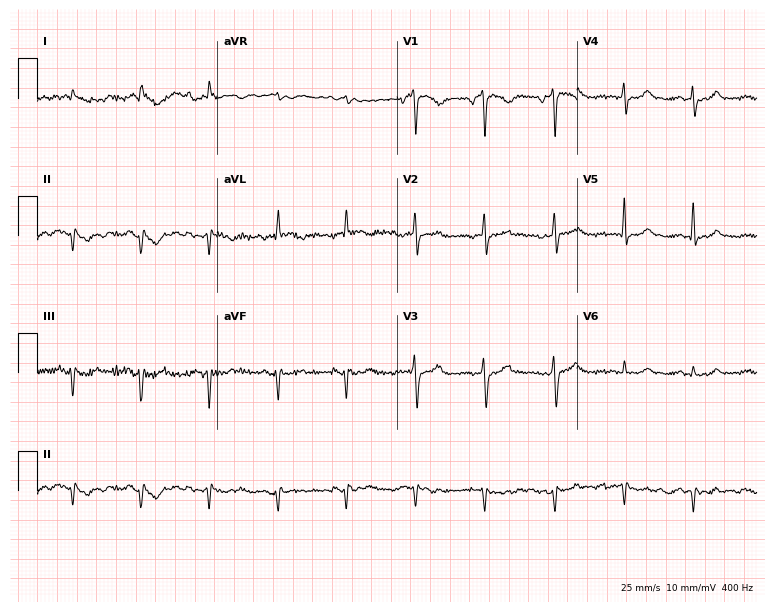
12-lead ECG from a 66-year-old female. No first-degree AV block, right bundle branch block, left bundle branch block, sinus bradycardia, atrial fibrillation or sinus tachycardia recorded for this tracing. Other findings, if any, are not listed.